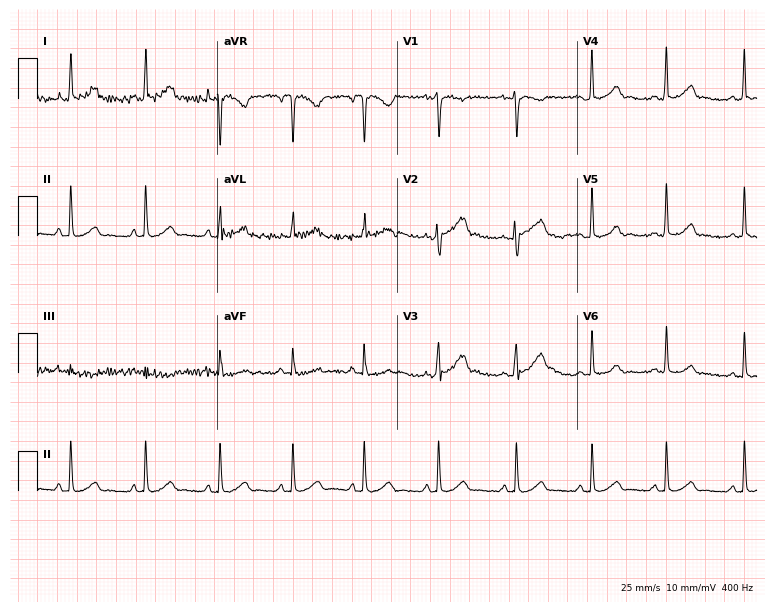
12-lead ECG (7.3-second recording at 400 Hz) from a 21-year-old female patient. Labelled as a normal ECG.